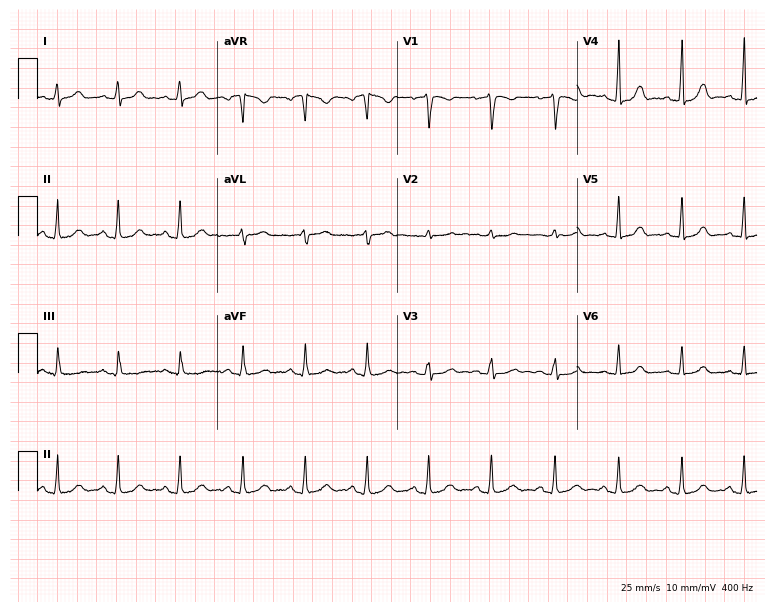
Standard 12-lead ECG recorded from a 42-year-old female patient. Read as a normal ECG.